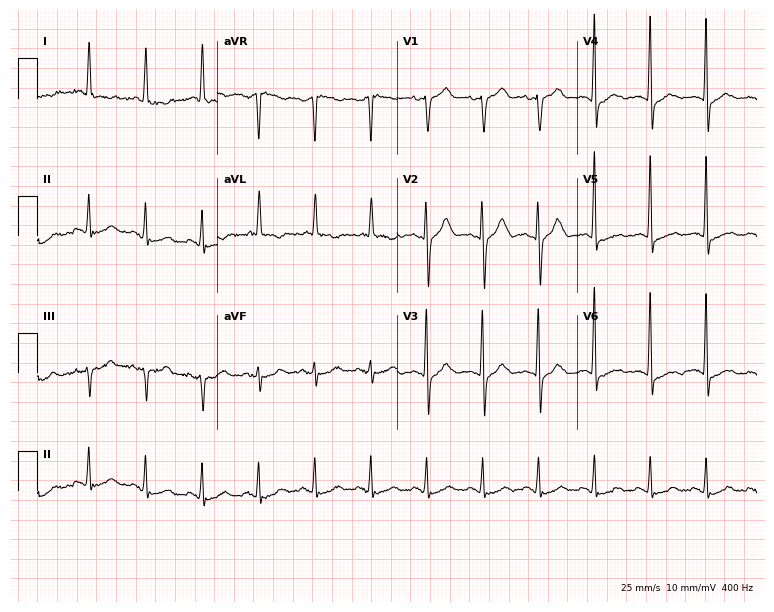
12-lead ECG from an 82-year-old woman. Shows sinus tachycardia (a sinus rate of 100 beats per minute or more).